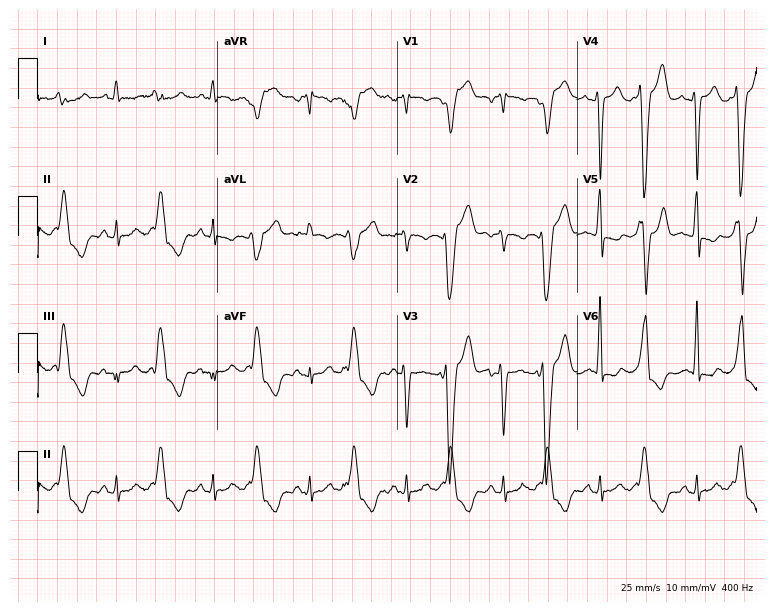
ECG — a 58-year-old male. Screened for six findings — first-degree AV block, right bundle branch block, left bundle branch block, sinus bradycardia, atrial fibrillation, sinus tachycardia — none is recorded.